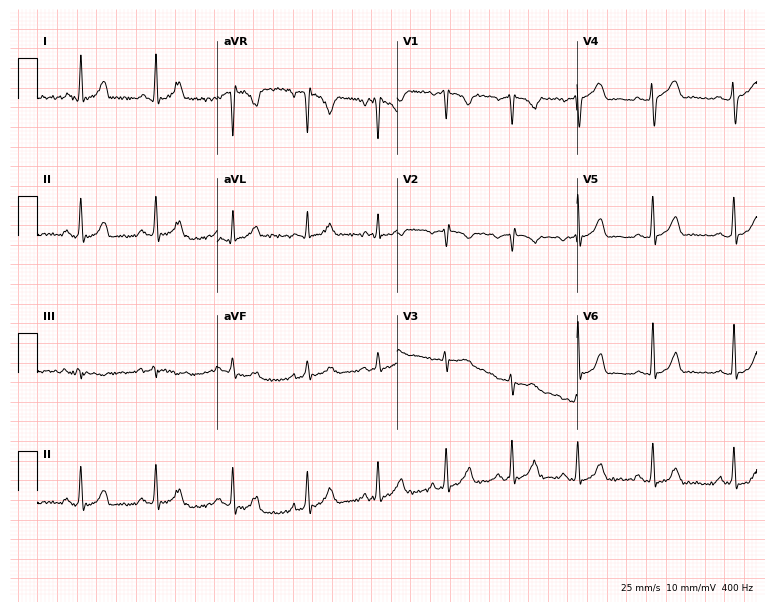
Resting 12-lead electrocardiogram. Patient: a woman, 32 years old. None of these six findings is recorded: first-degree AV block, right bundle branch block, left bundle branch block, sinus bradycardia, atrial fibrillation, sinus tachycardia. Other findings, if any, are not listed.